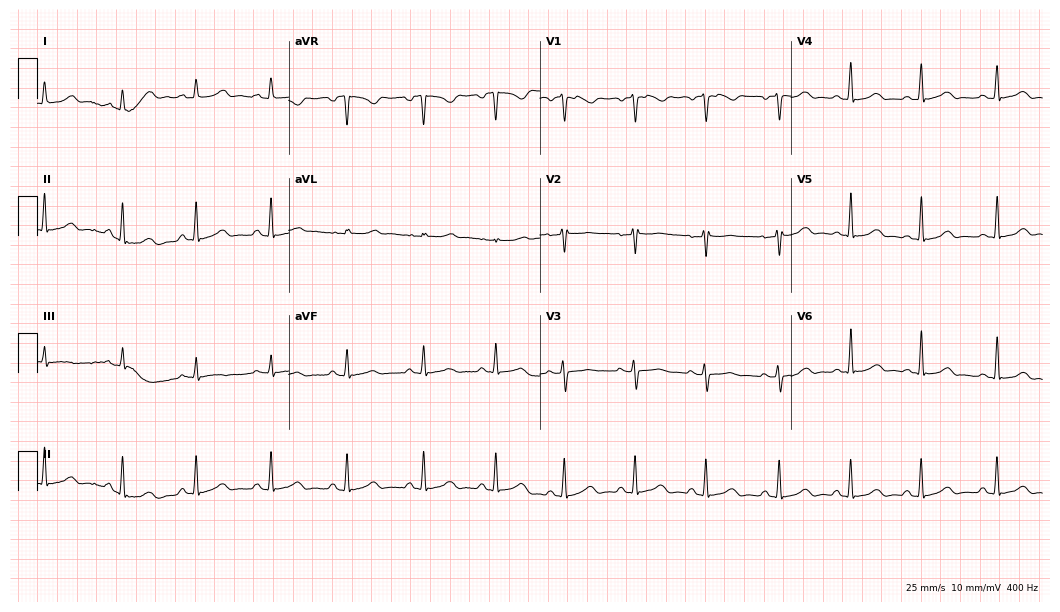
ECG (10.2-second recording at 400 Hz) — an 18-year-old female. Screened for six findings — first-degree AV block, right bundle branch block (RBBB), left bundle branch block (LBBB), sinus bradycardia, atrial fibrillation (AF), sinus tachycardia — none is recorded.